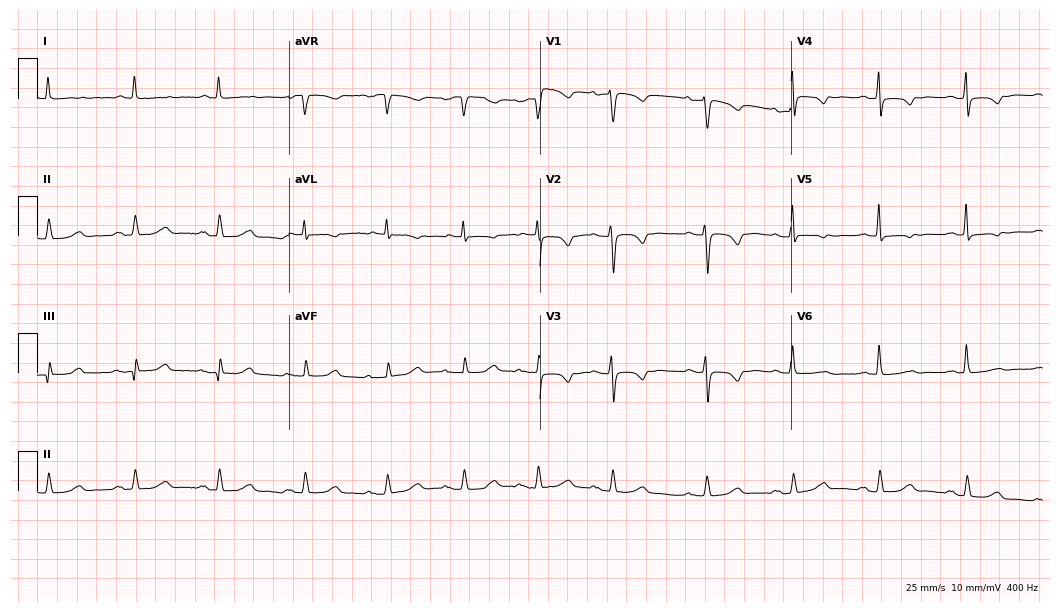
Resting 12-lead electrocardiogram (10.2-second recording at 400 Hz). Patient: a female, 79 years old. None of these six findings is recorded: first-degree AV block, right bundle branch block (RBBB), left bundle branch block (LBBB), sinus bradycardia, atrial fibrillation (AF), sinus tachycardia.